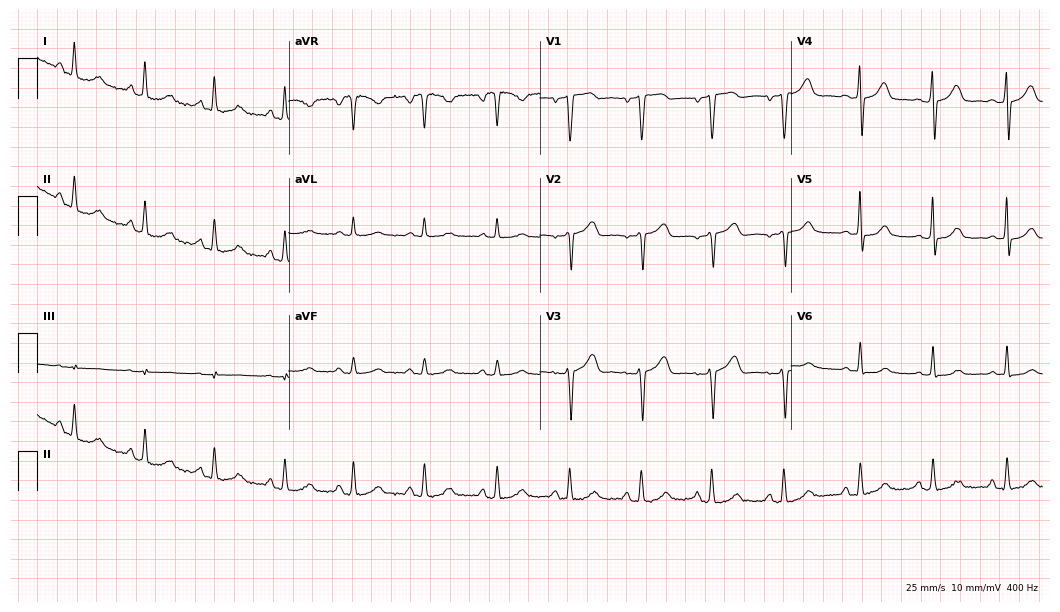
12-lead ECG from a 57-year-old female patient. Screened for six findings — first-degree AV block, right bundle branch block, left bundle branch block, sinus bradycardia, atrial fibrillation, sinus tachycardia — none is recorded.